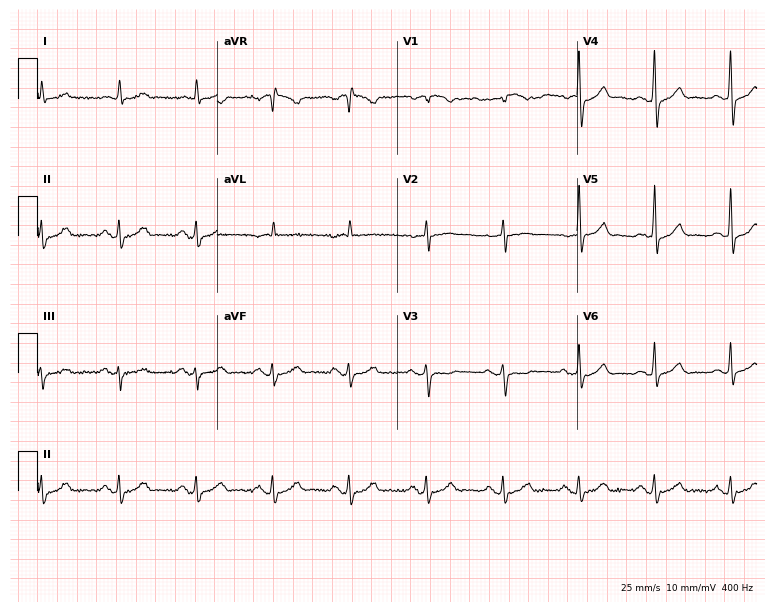
12-lead ECG from a male, 71 years old. Recorded interpretation: within normal limits.